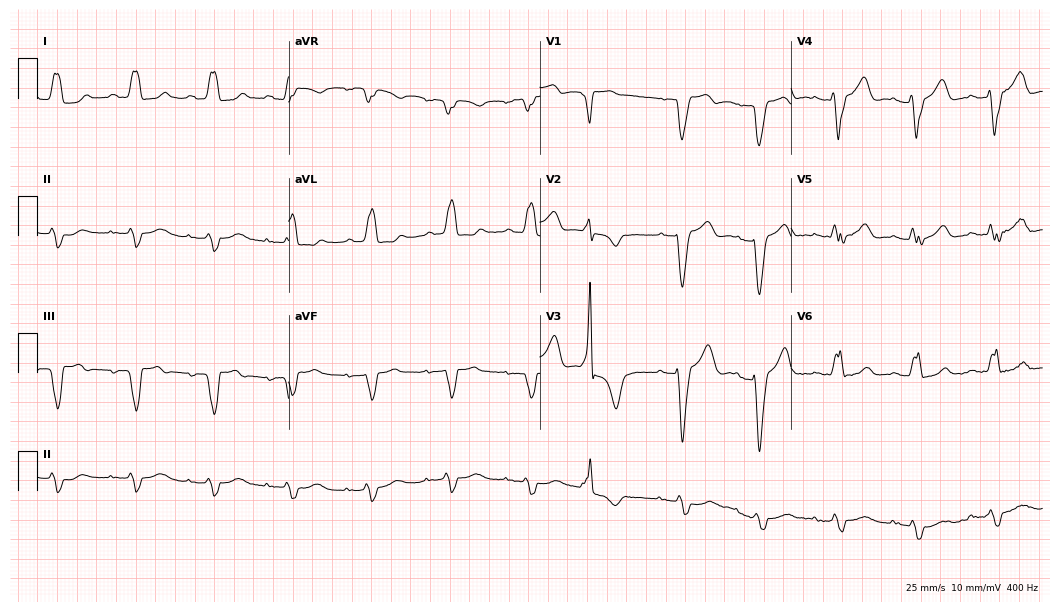
Standard 12-lead ECG recorded from a male, 85 years old (10.2-second recording at 400 Hz). The tracing shows left bundle branch block (LBBB).